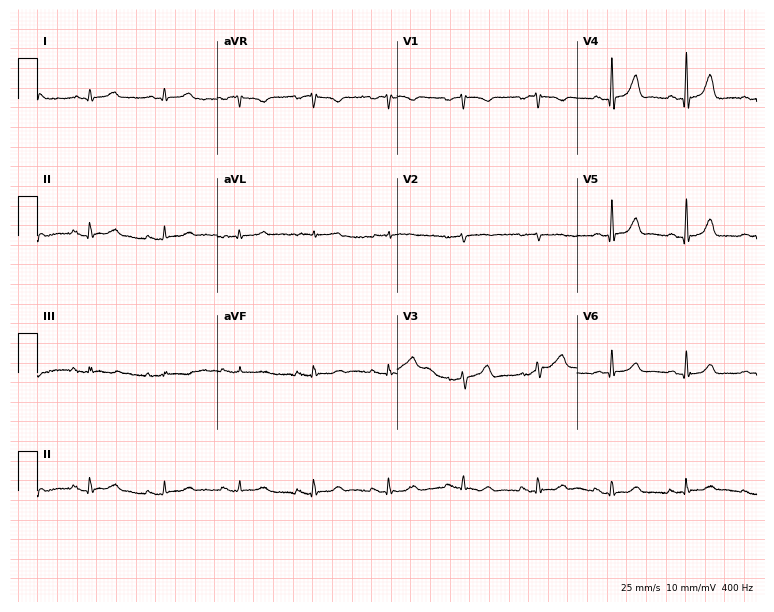
Standard 12-lead ECG recorded from a man, 74 years old (7.3-second recording at 400 Hz). None of these six findings is recorded: first-degree AV block, right bundle branch block, left bundle branch block, sinus bradycardia, atrial fibrillation, sinus tachycardia.